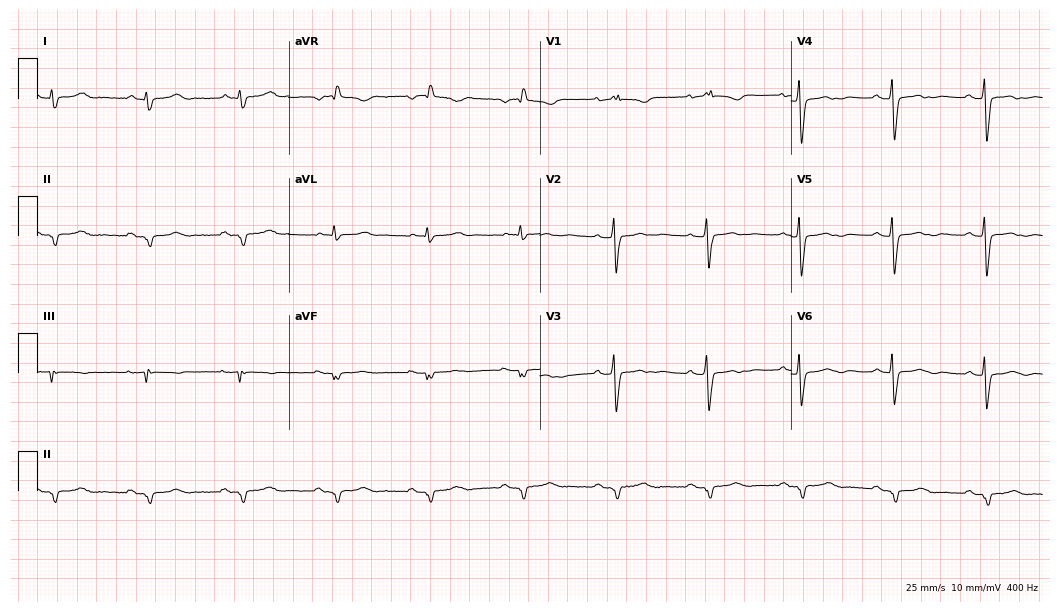
ECG — a 64-year-old female. Screened for six findings — first-degree AV block, right bundle branch block, left bundle branch block, sinus bradycardia, atrial fibrillation, sinus tachycardia — none is recorded. Only these six findings were labelled.